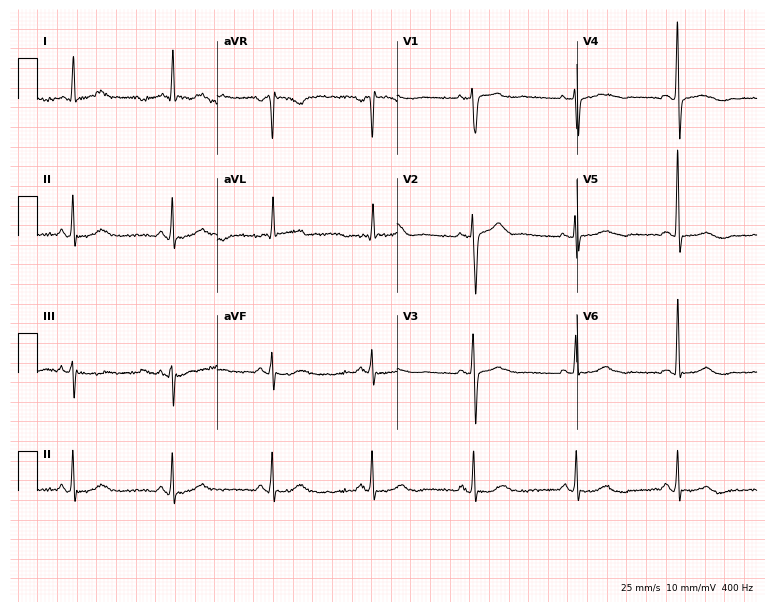
Standard 12-lead ECG recorded from a woman, 82 years old (7.3-second recording at 400 Hz). None of these six findings is recorded: first-degree AV block, right bundle branch block, left bundle branch block, sinus bradycardia, atrial fibrillation, sinus tachycardia.